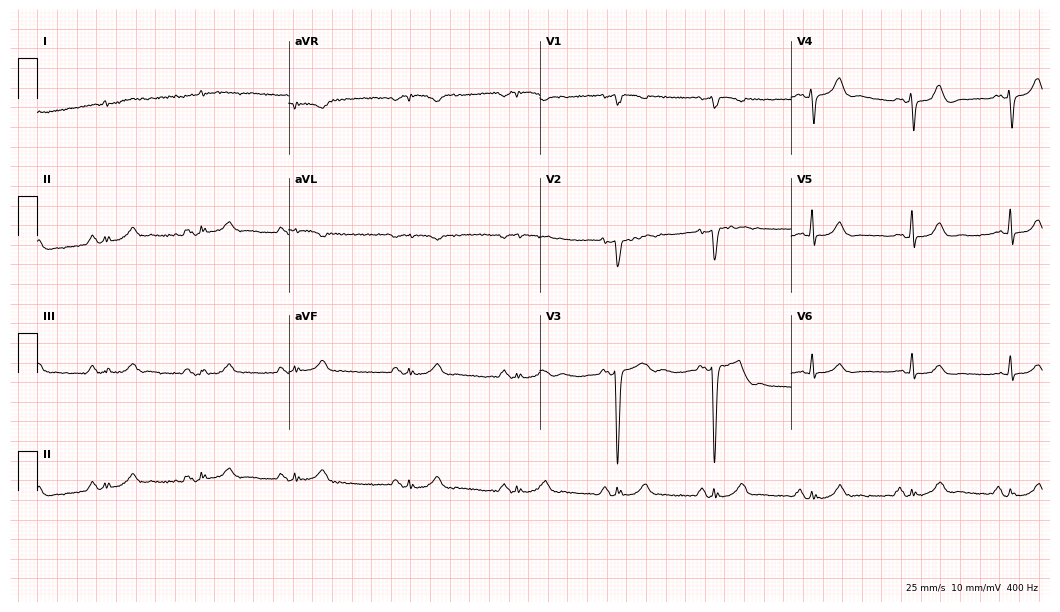
ECG (10.2-second recording at 400 Hz) — a 75-year-old man. Screened for six findings — first-degree AV block, right bundle branch block, left bundle branch block, sinus bradycardia, atrial fibrillation, sinus tachycardia — none is recorded.